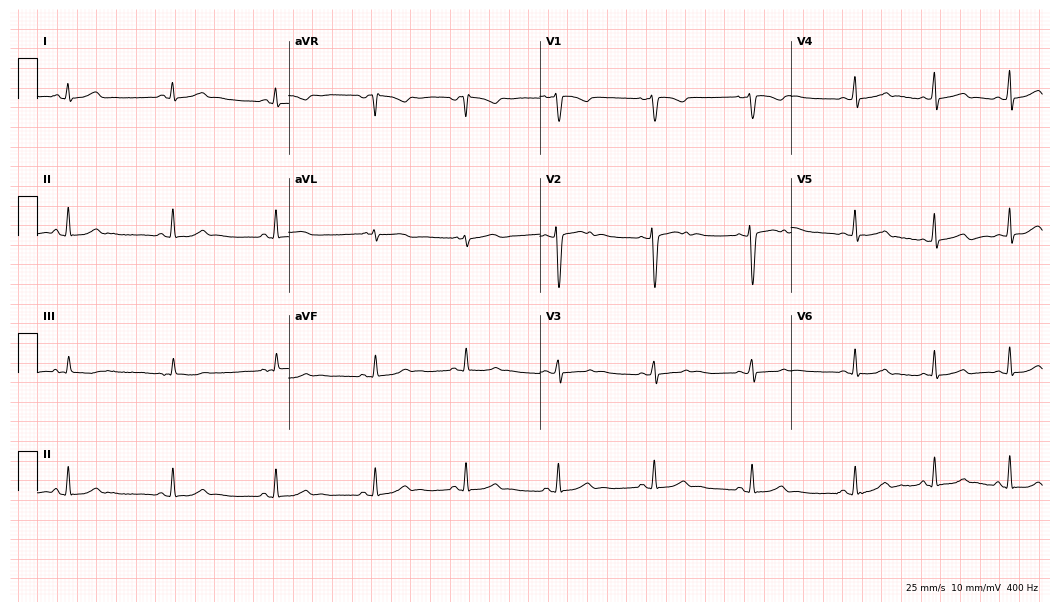
Standard 12-lead ECG recorded from a female, 24 years old (10.2-second recording at 400 Hz). None of these six findings is recorded: first-degree AV block, right bundle branch block, left bundle branch block, sinus bradycardia, atrial fibrillation, sinus tachycardia. Other findings, if any, are not listed.